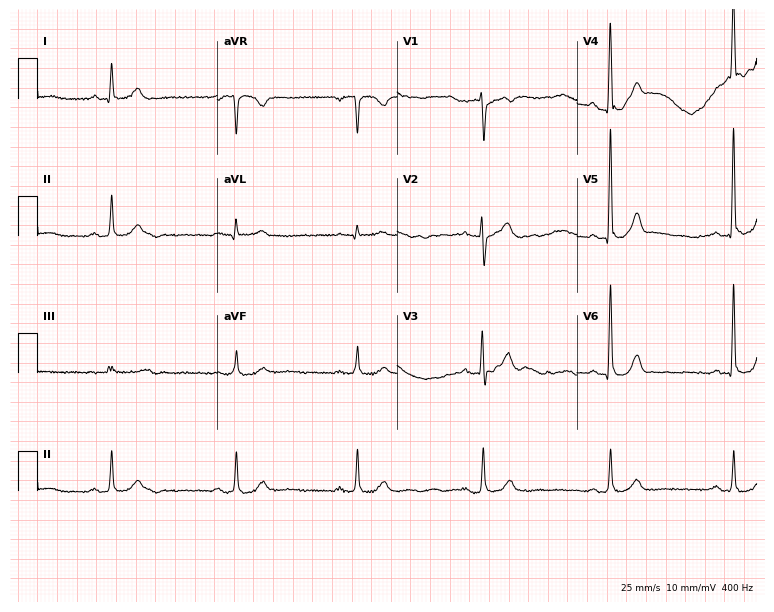
12-lead ECG (7.3-second recording at 400 Hz) from an 83-year-old man. Findings include sinus bradycardia (a sinus rate of 50 beats per minute or less).